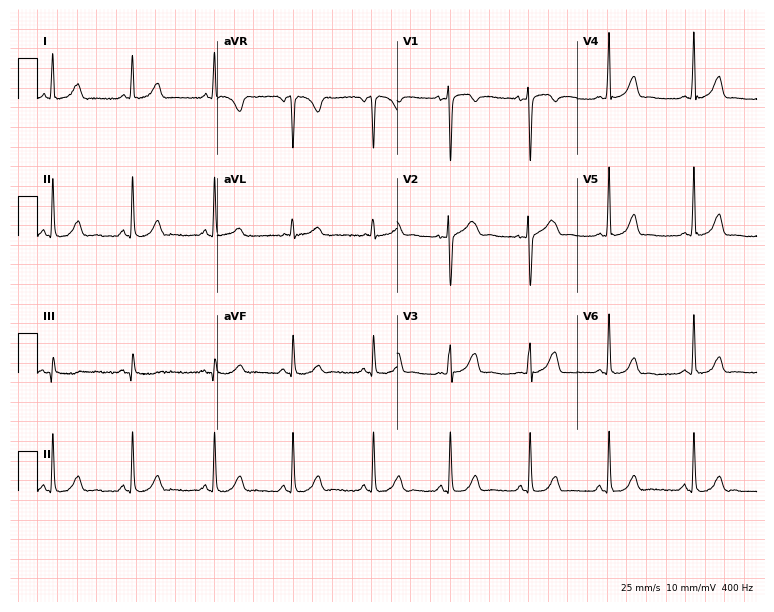
12-lead ECG from a man, 42 years old. Recorded interpretation: within normal limits.